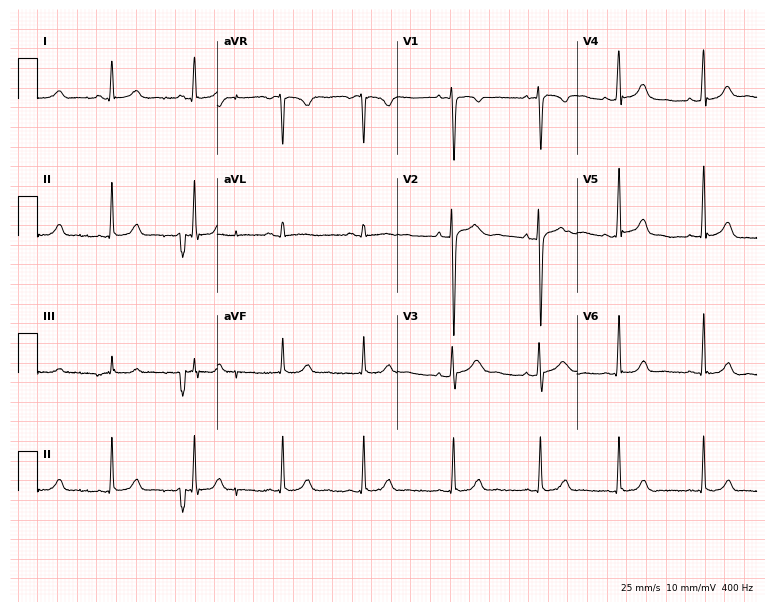
Electrocardiogram (7.3-second recording at 400 Hz), a female, 19 years old. Overall reading on record: normal ECG.